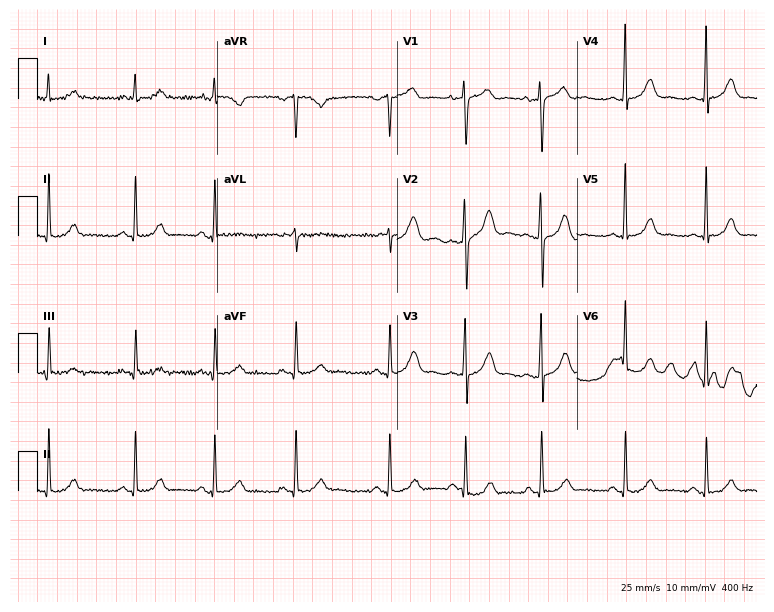
12-lead ECG from a 34-year-old man. Labelled as a normal ECG.